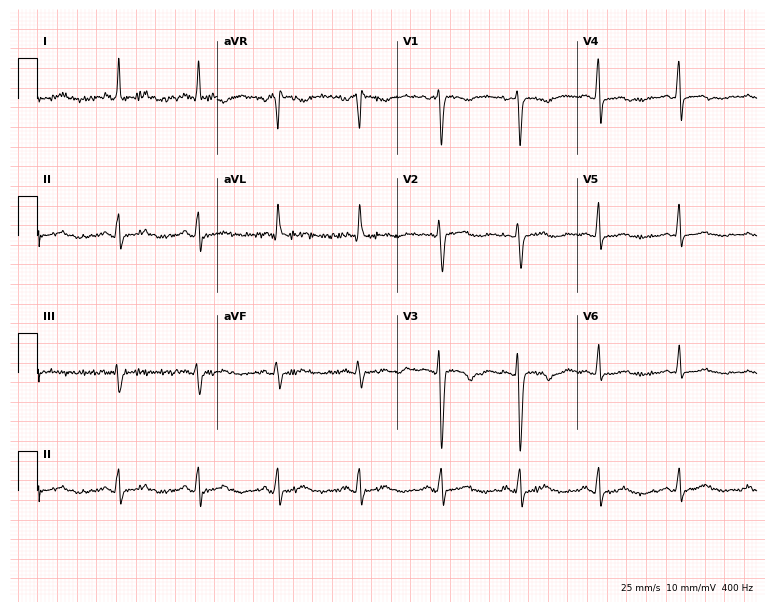
ECG — a female, 45 years old. Labelled as a normal ECG.